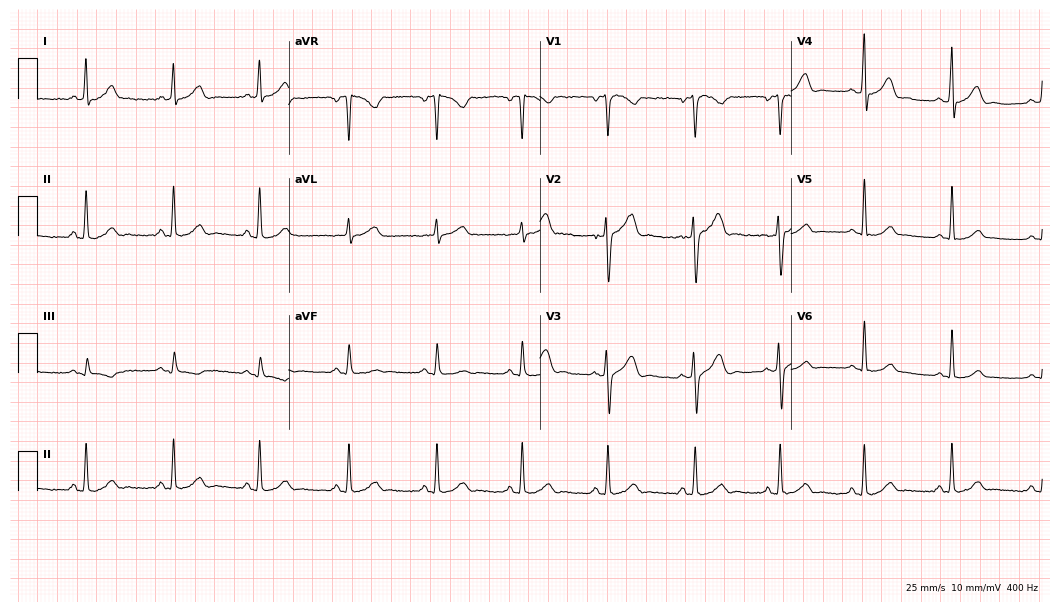
Electrocardiogram, a 39-year-old male patient. Overall reading on record: normal ECG.